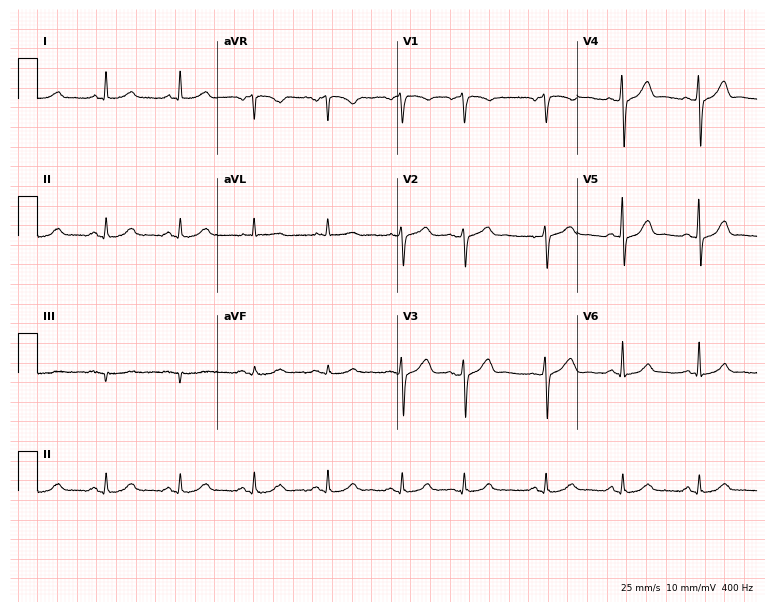
12-lead ECG from a 70-year-old male. Labelled as a normal ECG.